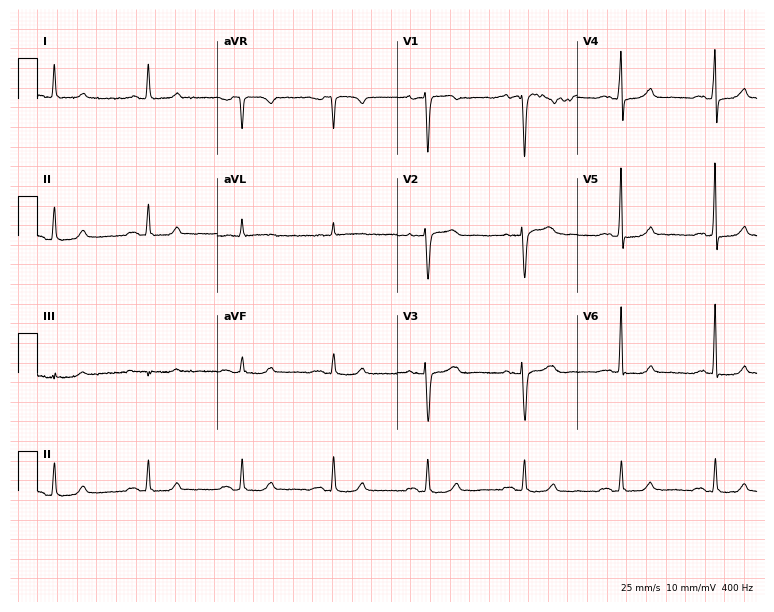
Standard 12-lead ECG recorded from a 68-year-old woman (7.3-second recording at 400 Hz). Read as a normal ECG.